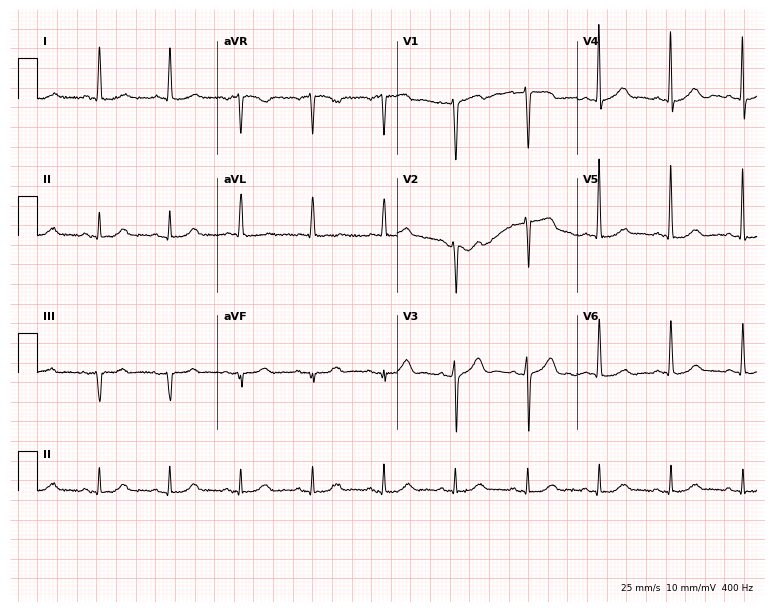
Standard 12-lead ECG recorded from a female patient, 82 years old (7.3-second recording at 400 Hz). Read as a normal ECG.